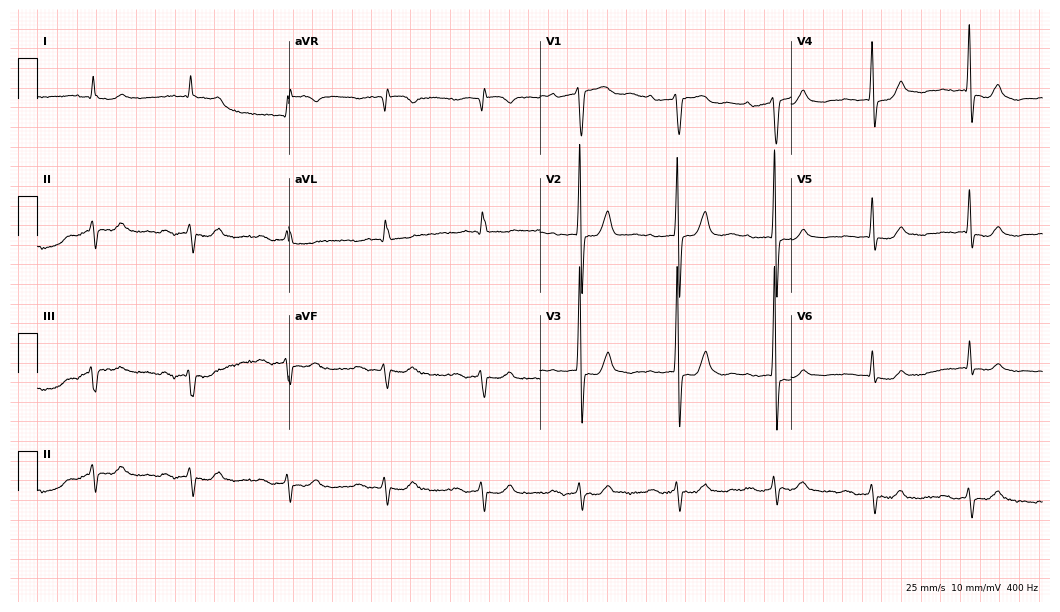
Resting 12-lead electrocardiogram. Patient: an 84-year-old female. None of these six findings is recorded: first-degree AV block, right bundle branch block, left bundle branch block, sinus bradycardia, atrial fibrillation, sinus tachycardia. Only these six findings were labelled.